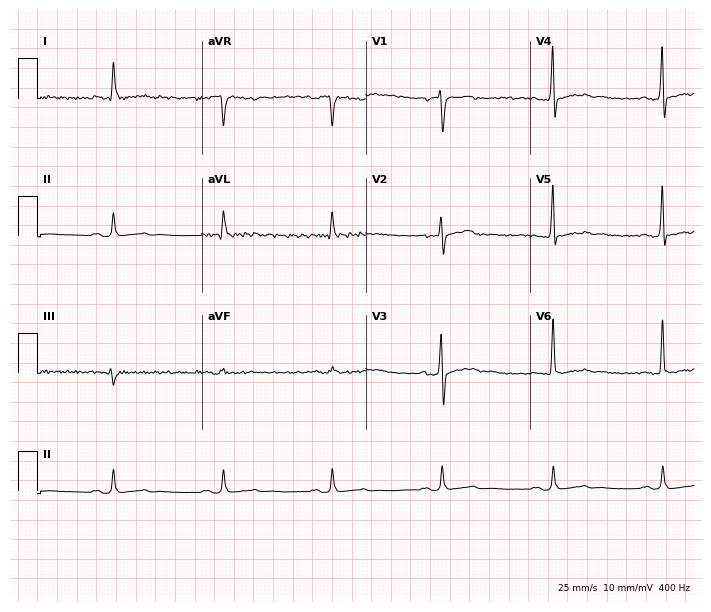
12-lead ECG (6.7-second recording at 400 Hz) from a male patient, 63 years old. Screened for six findings — first-degree AV block, right bundle branch block, left bundle branch block, sinus bradycardia, atrial fibrillation, sinus tachycardia — none is recorded. Other findings, if any, are not listed.